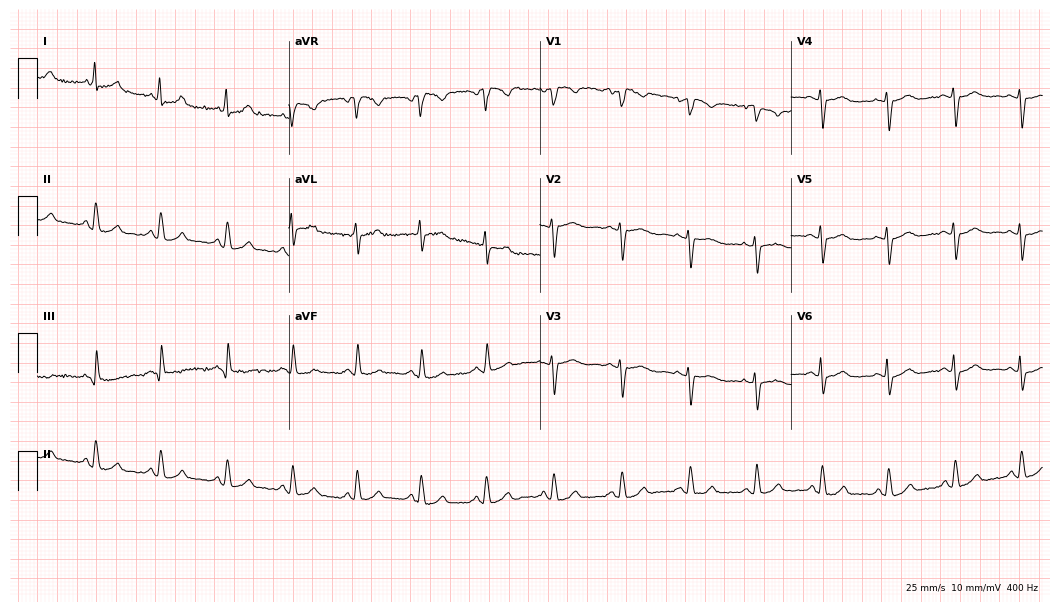
ECG (10.2-second recording at 400 Hz) — a female, 65 years old. Screened for six findings — first-degree AV block, right bundle branch block, left bundle branch block, sinus bradycardia, atrial fibrillation, sinus tachycardia — none is recorded.